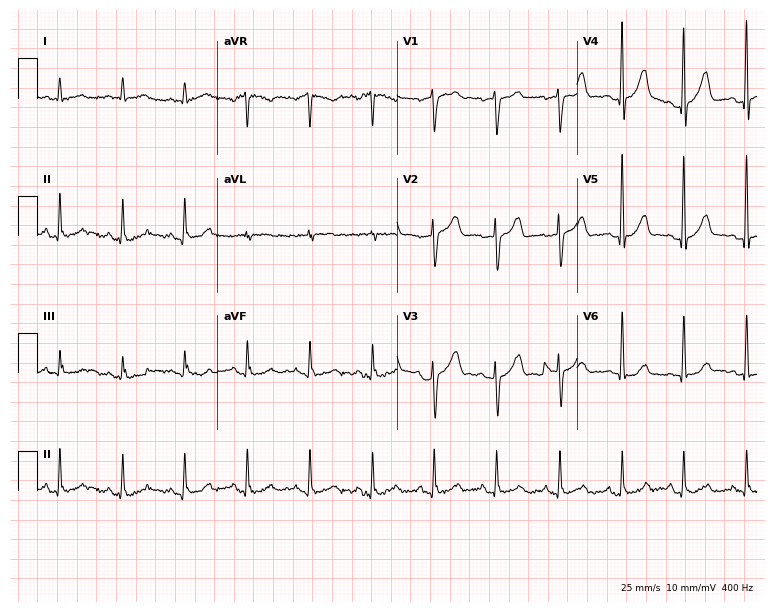
Electrocardiogram (7.3-second recording at 400 Hz), a 71-year-old male. Overall reading on record: normal ECG.